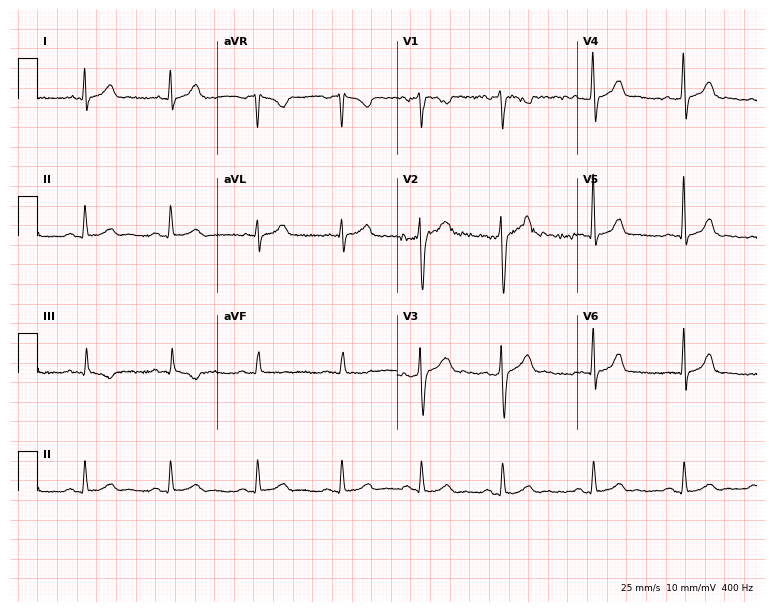
Standard 12-lead ECG recorded from a 42-year-old male patient. None of these six findings is recorded: first-degree AV block, right bundle branch block, left bundle branch block, sinus bradycardia, atrial fibrillation, sinus tachycardia.